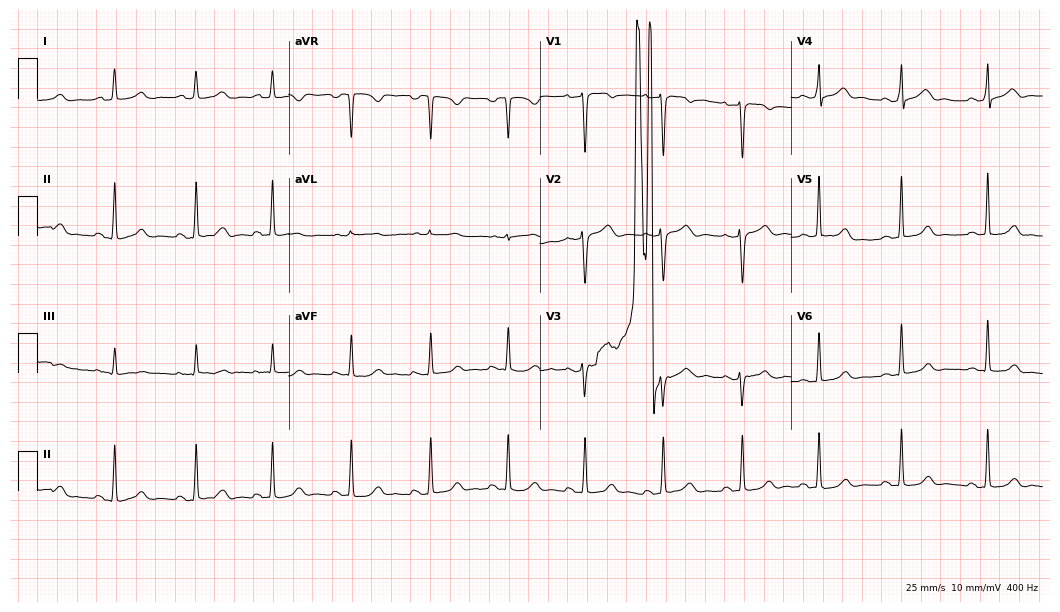
Electrocardiogram, a female, 52 years old. Overall reading on record: normal ECG.